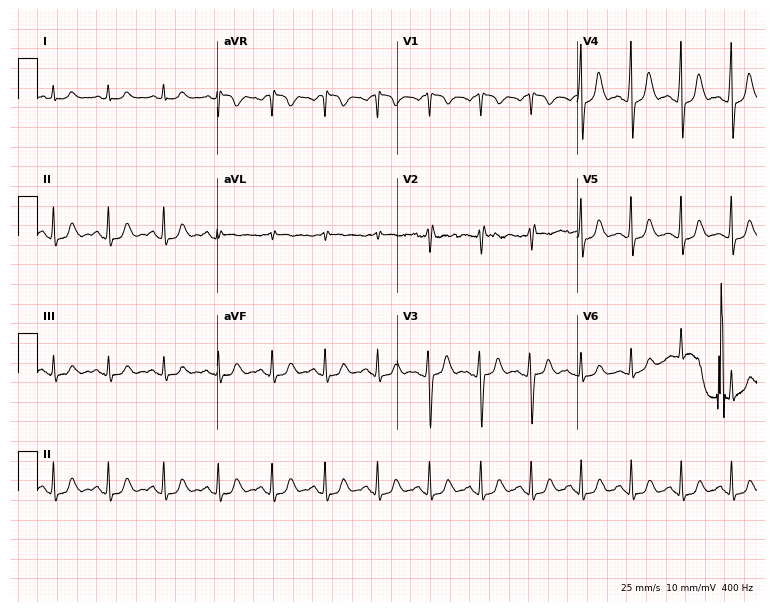
12-lead ECG from a 35-year-old woman. Shows sinus tachycardia (a sinus rate of 100 beats per minute or more).